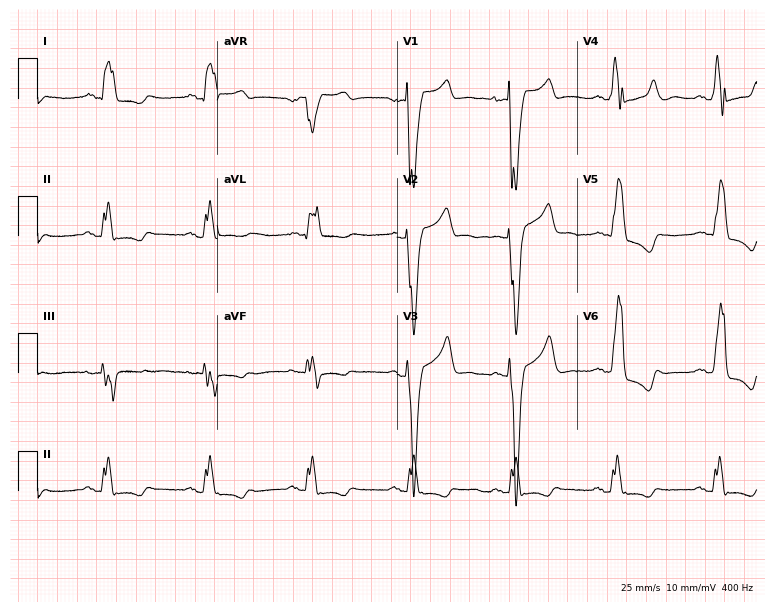
ECG — a 54-year-old female. Findings include left bundle branch block (LBBB).